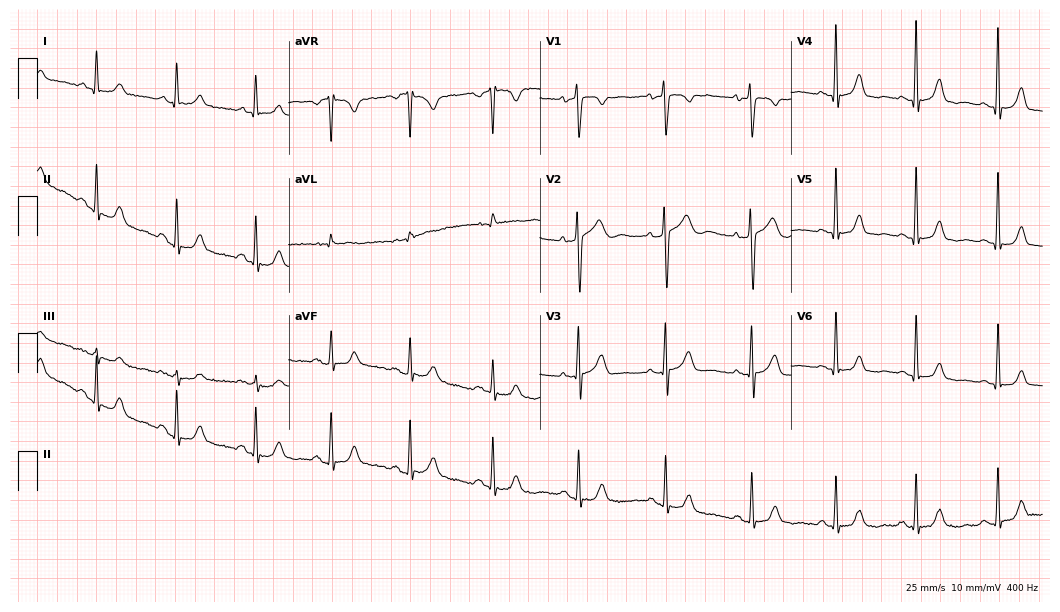
12-lead ECG (10.2-second recording at 400 Hz) from a female, 51 years old. Screened for six findings — first-degree AV block, right bundle branch block, left bundle branch block, sinus bradycardia, atrial fibrillation, sinus tachycardia — none is recorded. Other findings, if any, are not listed.